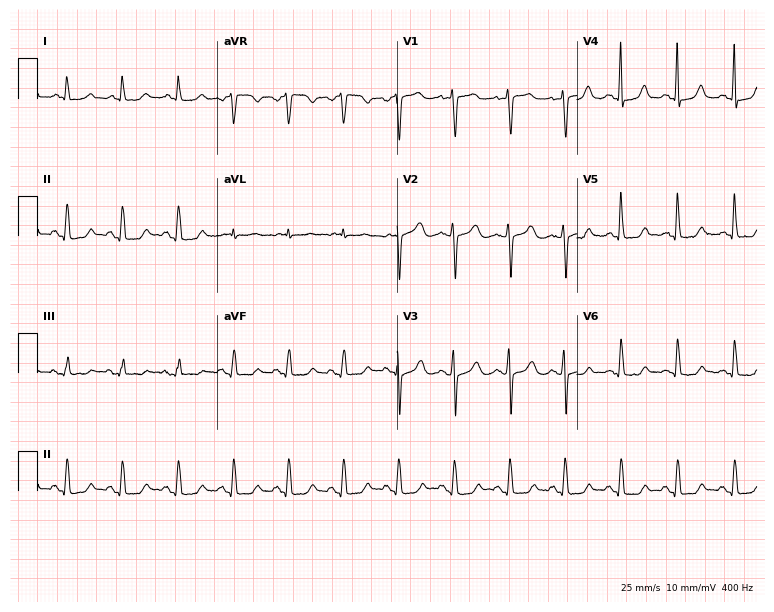
Resting 12-lead electrocardiogram. Patient: a 65-year-old female. None of these six findings is recorded: first-degree AV block, right bundle branch block, left bundle branch block, sinus bradycardia, atrial fibrillation, sinus tachycardia. Other findings, if any, are not listed.